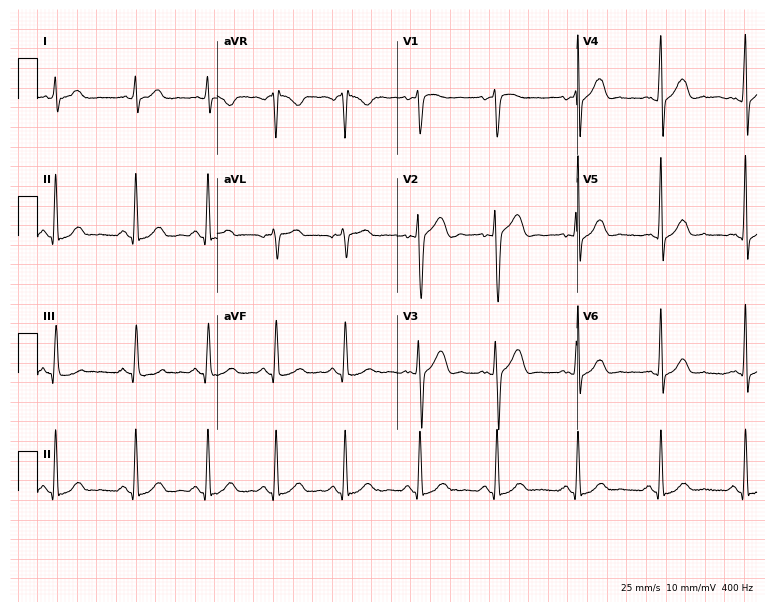
12-lead ECG (7.3-second recording at 400 Hz) from a 41-year-old male. Labelled as a normal ECG.